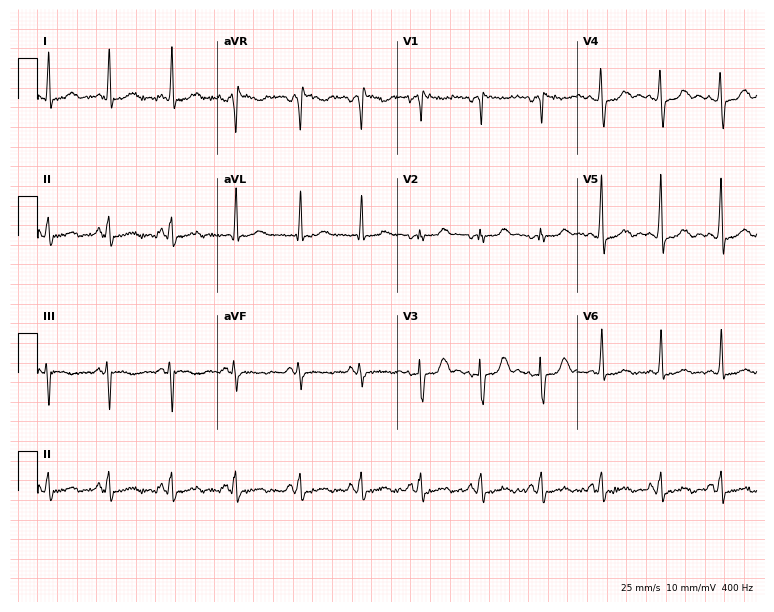
Standard 12-lead ECG recorded from a 54-year-old woman (7.3-second recording at 400 Hz). None of these six findings is recorded: first-degree AV block, right bundle branch block, left bundle branch block, sinus bradycardia, atrial fibrillation, sinus tachycardia.